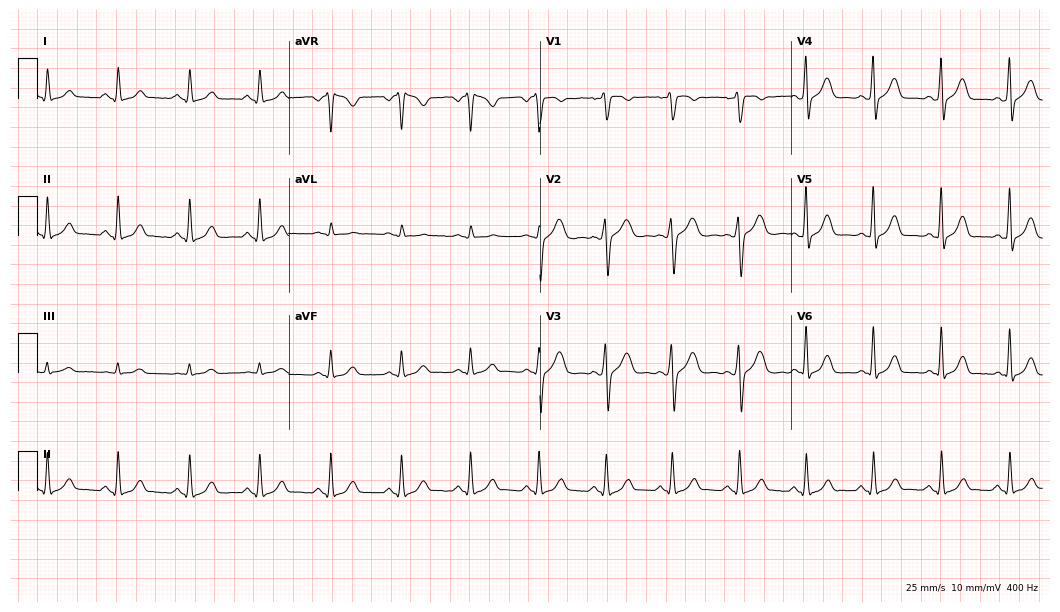
Resting 12-lead electrocardiogram (10.2-second recording at 400 Hz). Patient: a 37-year-old male. Read as a normal ECG.